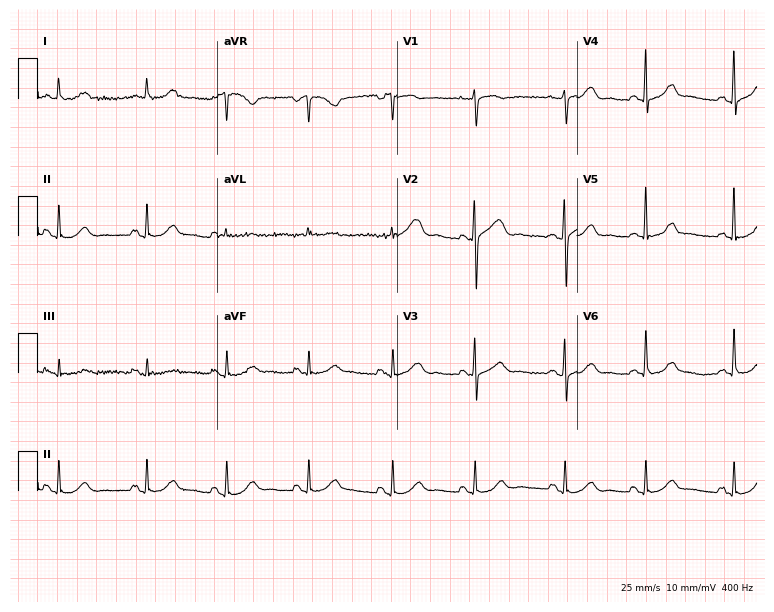
Electrocardiogram (7.3-second recording at 400 Hz), an 80-year-old woman. Of the six screened findings (first-degree AV block, right bundle branch block, left bundle branch block, sinus bradycardia, atrial fibrillation, sinus tachycardia), none is recorded.